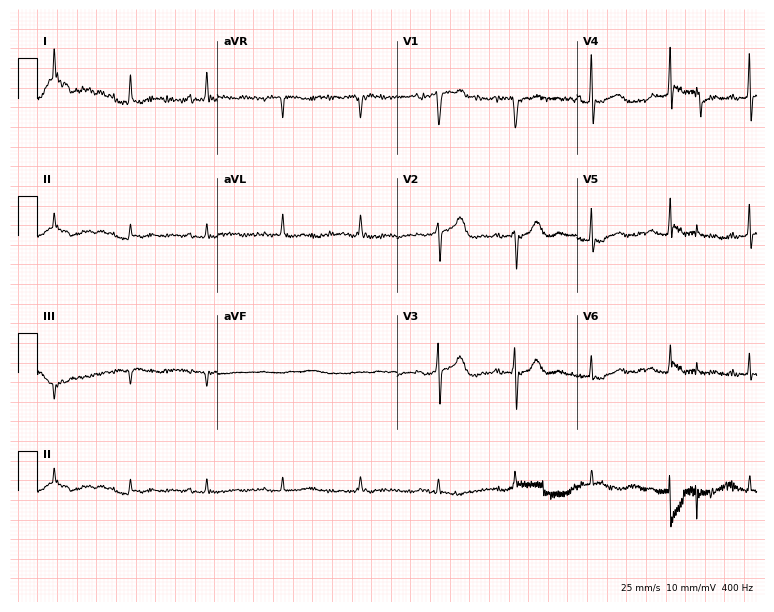
Standard 12-lead ECG recorded from an 81-year-old male patient. None of these six findings is recorded: first-degree AV block, right bundle branch block, left bundle branch block, sinus bradycardia, atrial fibrillation, sinus tachycardia. Findings outside these six are not listed.